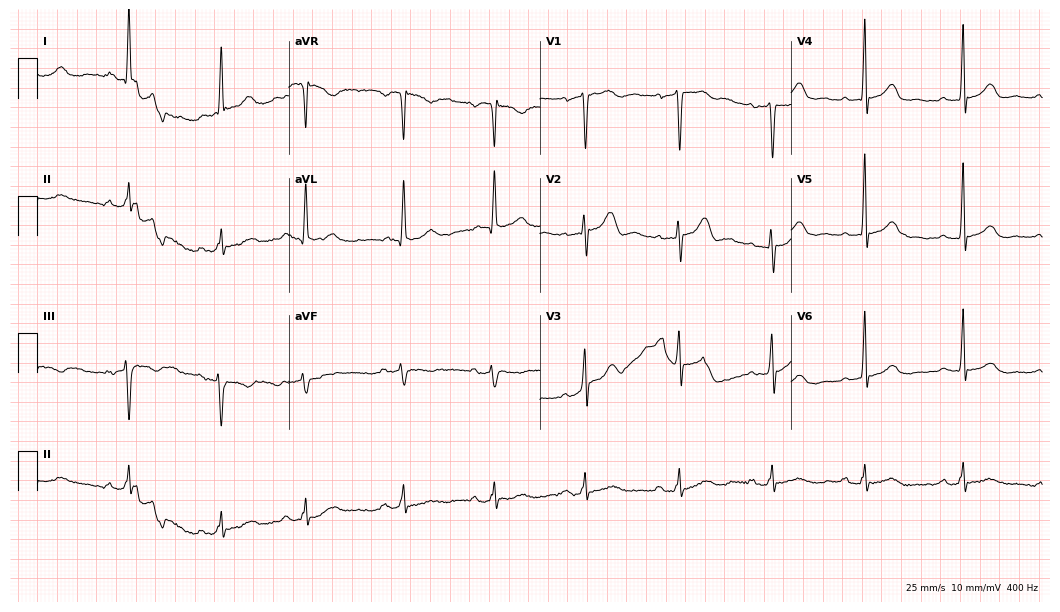
12-lead ECG (10.2-second recording at 400 Hz) from a 62-year-old male patient. Labelled as a normal ECG.